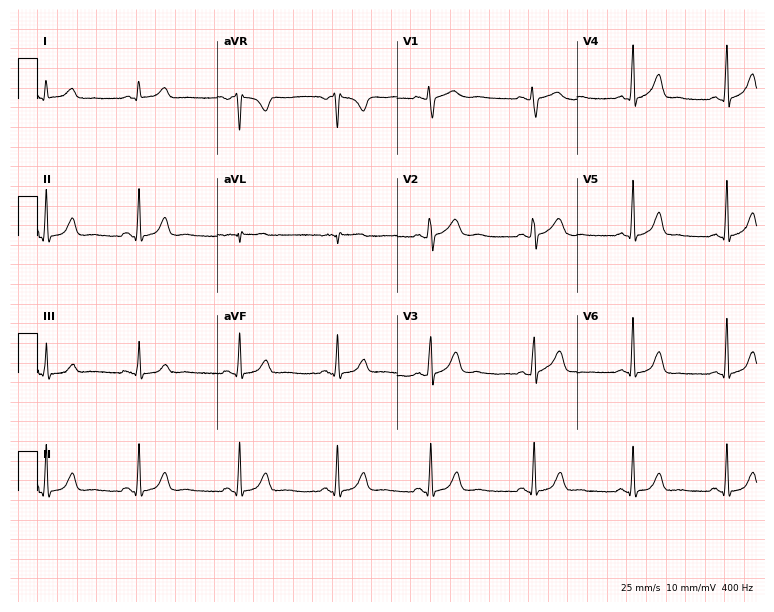
Electrocardiogram (7.3-second recording at 400 Hz), a female patient, 27 years old. Overall reading on record: normal ECG.